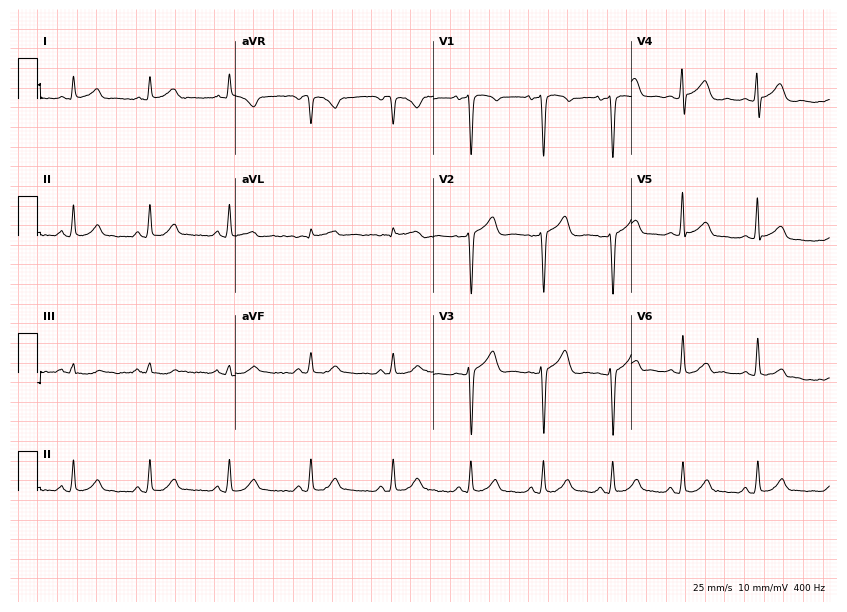
Electrocardiogram (8.1-second recording at 400 Hz), a male patient, 21 years old. Of the six screened findings (first-degree AV block, right bundle branch block, left bundle branch block, sinus bradycardia, atrial fibrillation, sinus tachycardia), none is recorded. Findings outside these six are not listed.